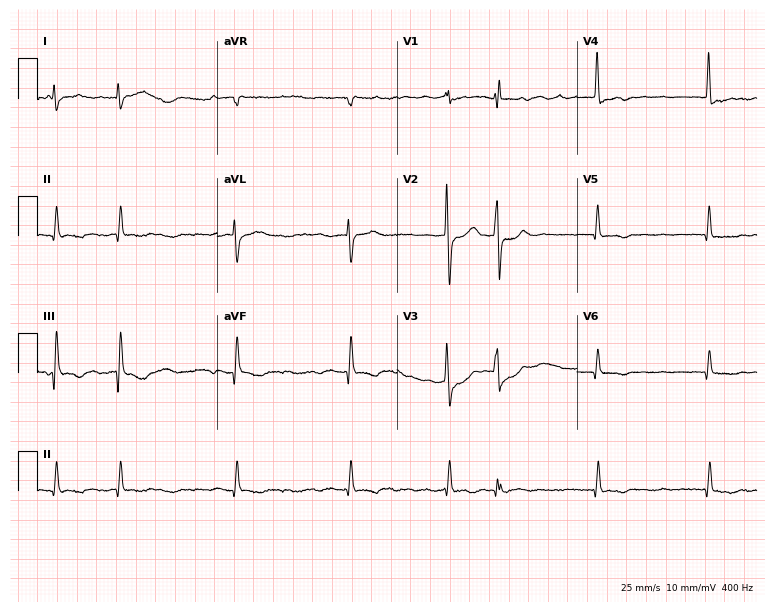
Resting 12-lead electrocardiogram. Patient: a female, 42 years old. The tracing shows atrial fibrillation (AF).